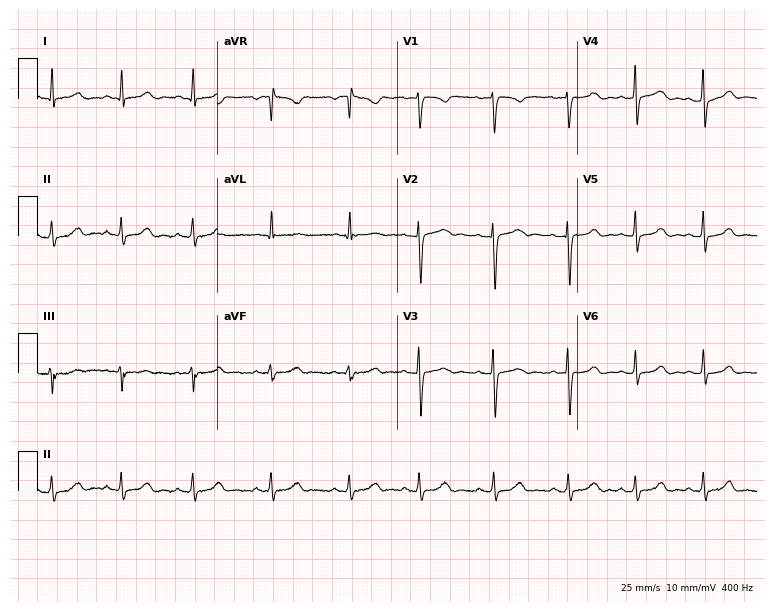
Electrocardiogram, a 28-year-old female patient. Overall reading on record: normal ECG.